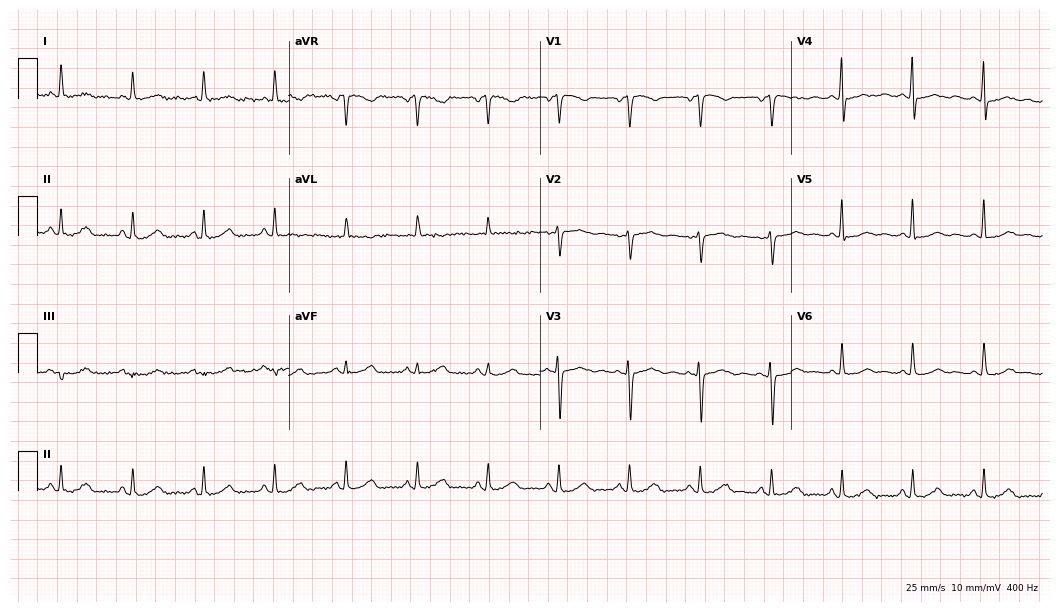
12-lead ECG from a 61-year-old female. Screened for six findings — first-degree AV block, right bundle branch block, left bundle branch block, sinus bradycardia, atrial fibrillation, sinus tachycardia — none is recorded.